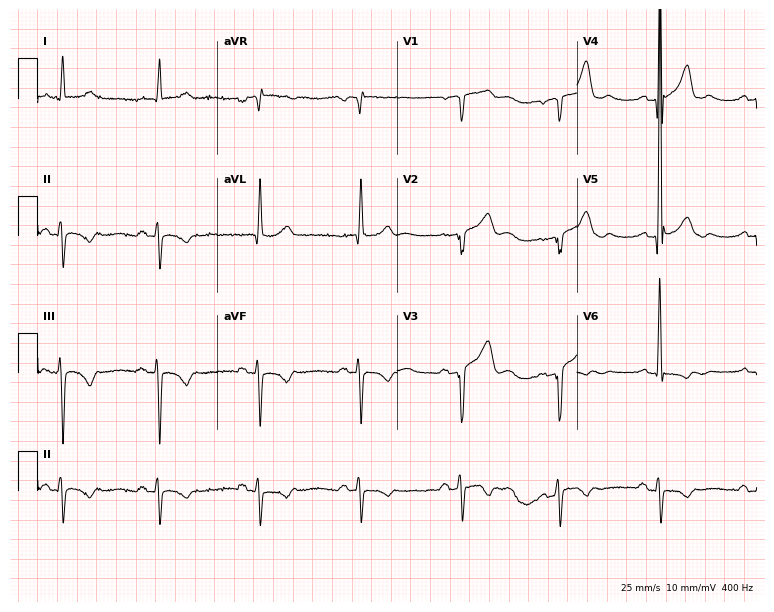
ECG (7.3-second recording at 400 Hz) — a male, 54 years old. Screened for six findings — first-degree AV block, right bundle branch block (RBBB), left bundle branch block (LBBB), sinus bradycardia, atrial fibrillation (AF), sinus tachycardia — none is recorded. Other findings, if any, are not listed.